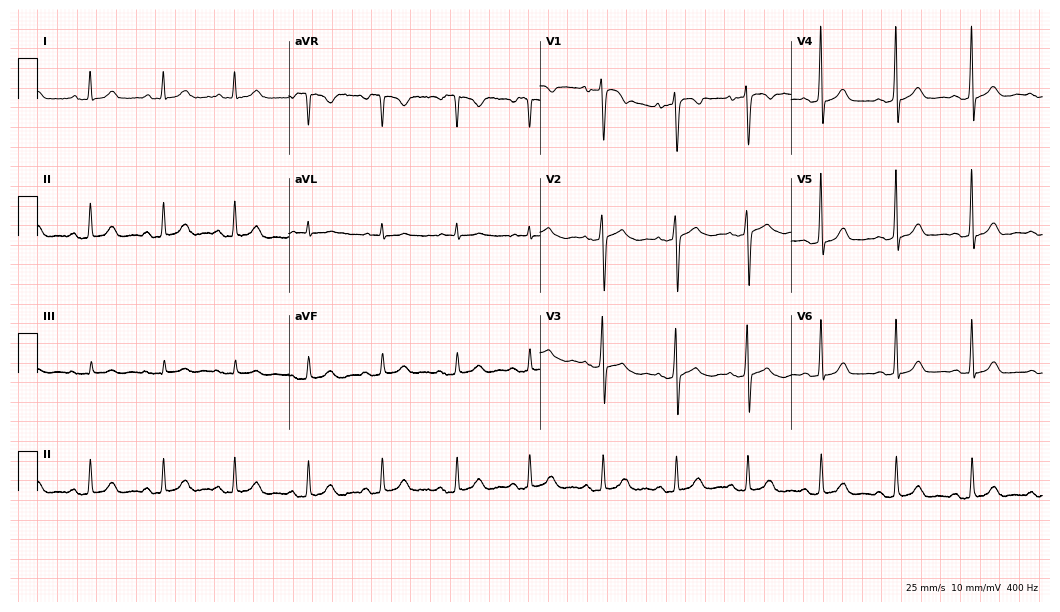
12-lead ECG from a male patient, 49 years old. Labelled as a normal ECG.